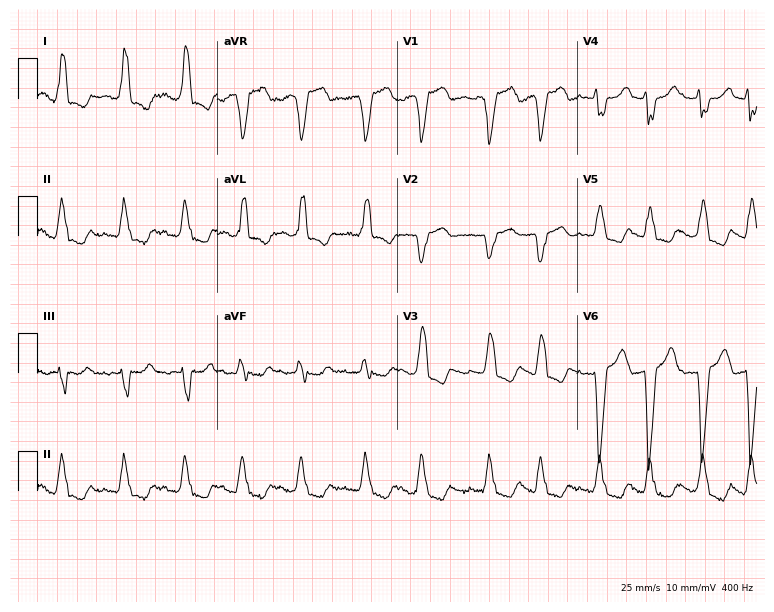
Resting 12-lead electrocardiogram (7.3-second recording at 400 Hz). Patient: a 79-year-old female. The tracing shows left bundle branch block.